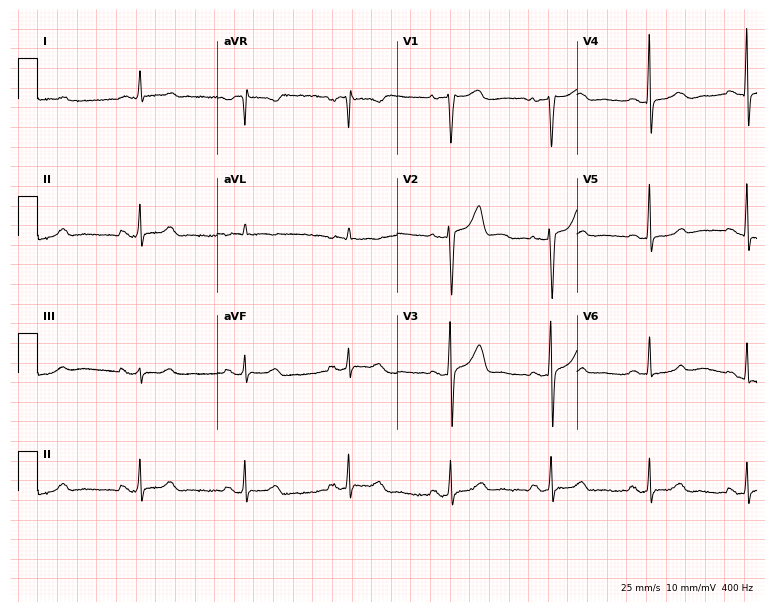
Resting 12-lead electrocardiogram (7.3-second recording at 400 Hz). Patient: a woman, 54 years old. Read as a normal ECG.